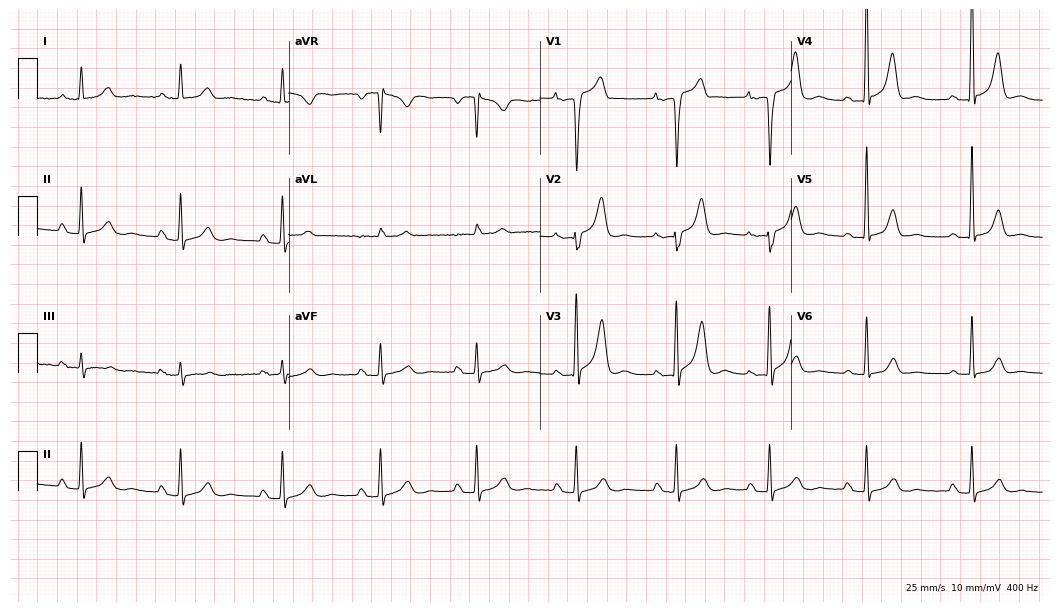
ECG (10.2-second recording at 400 Hz) — a female, 59 years old. Screened for six findings — first-degree AV block, right bundle branch block (RBBB), left bundle branch block (LBBB), sinus bradycardia, atrial fibrillation (AF), sinus tachycardia — none is recorded.